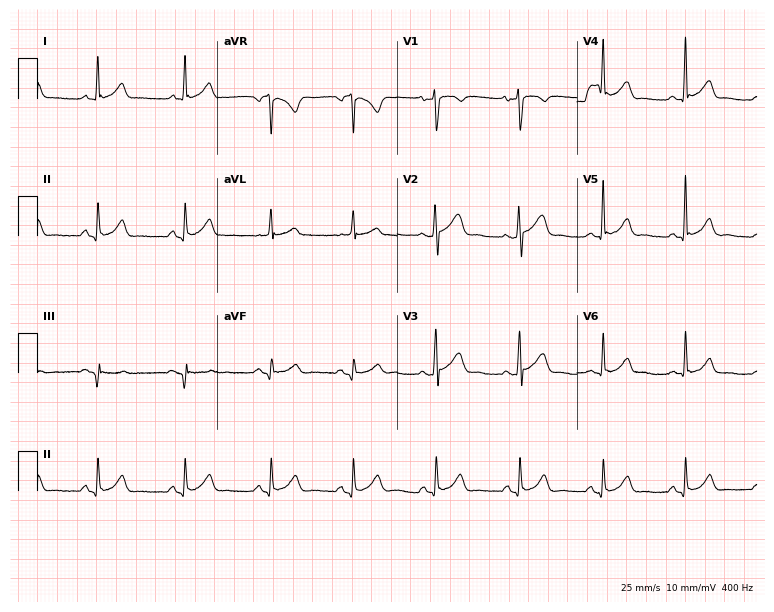
Resting 12-lead electrocardiogram (7.3-second recording at 400 Hz). Patient: a male, 37 years old. Read as a normal ECG.